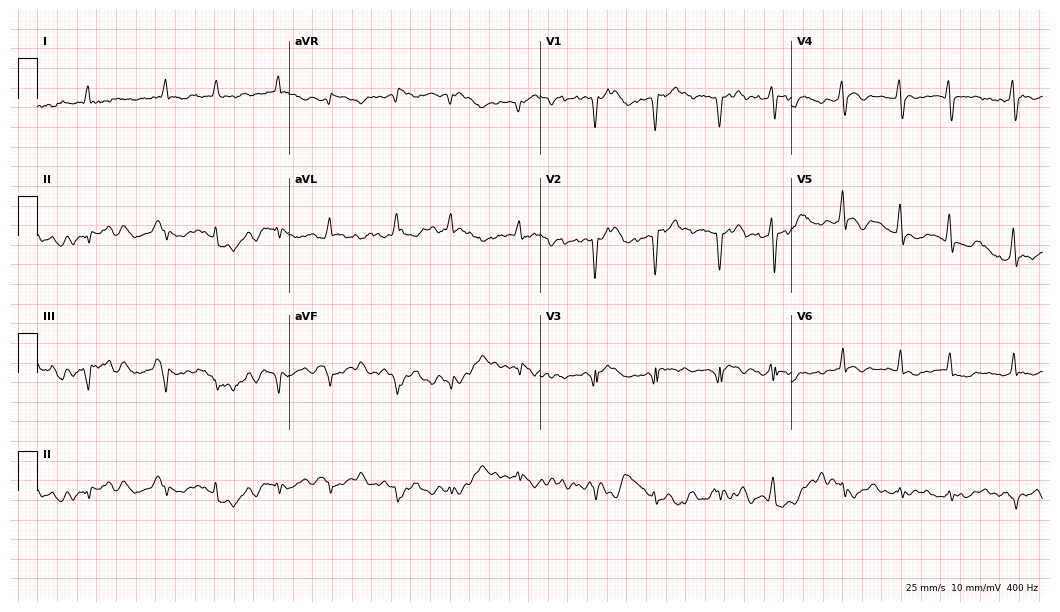
Electrocardiogram (10.2-second recording at 400 Hz), an 81-year-old man. Interpretation includes atrial fibrillation.